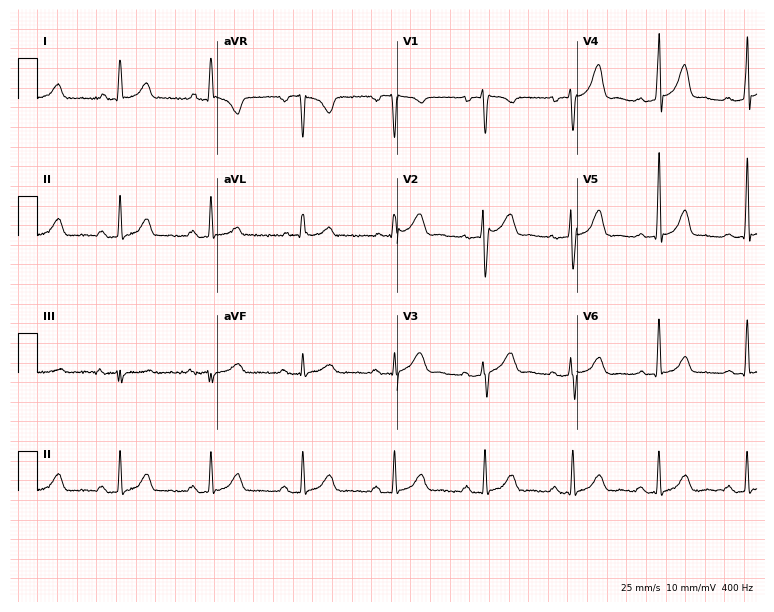
12-lead ECG (7.3-second recording at 400 Hz) from a female patient, 57 years old. Findings include first-degree AV block.